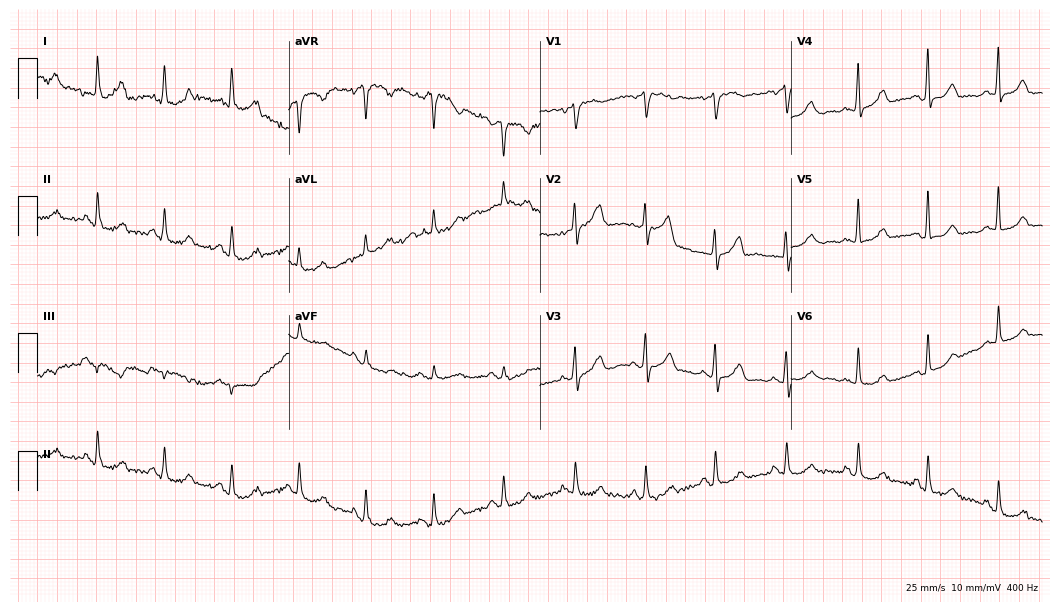
Resting 12-lead electrocardiogram. Patient: a 70-year-old woman. Read as a normal ECG.